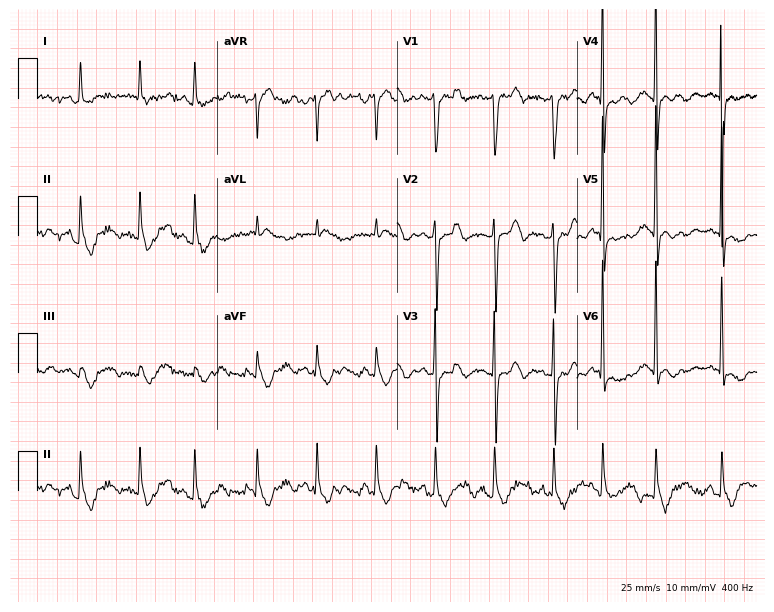
Electrocardiogram (7.3-second recording at 400 Hz), an 85-year-old male patient. Of the six screened findings (first-degree AV block, right bundle branch block (RBBB), left bundle branch block (LBBB), sinus bradycardia, atrial fibrillation (AF), sinus tachycardia), none is recorded.